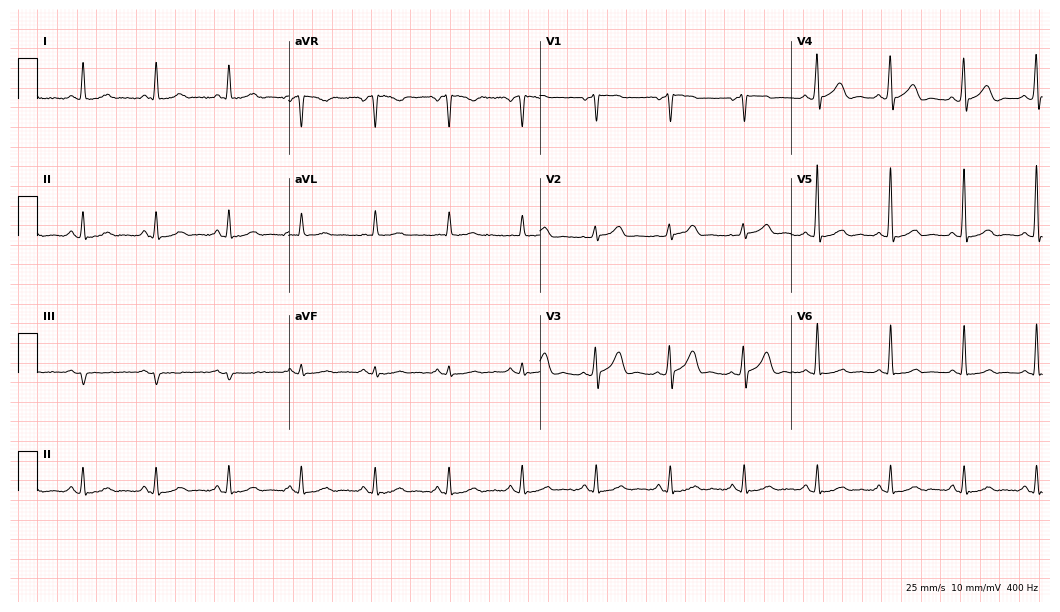
Standard 12-lead ECG recorded from a 55-year-old male patient (10.2-second recording at 400 Hz). Read as a normal ECG.